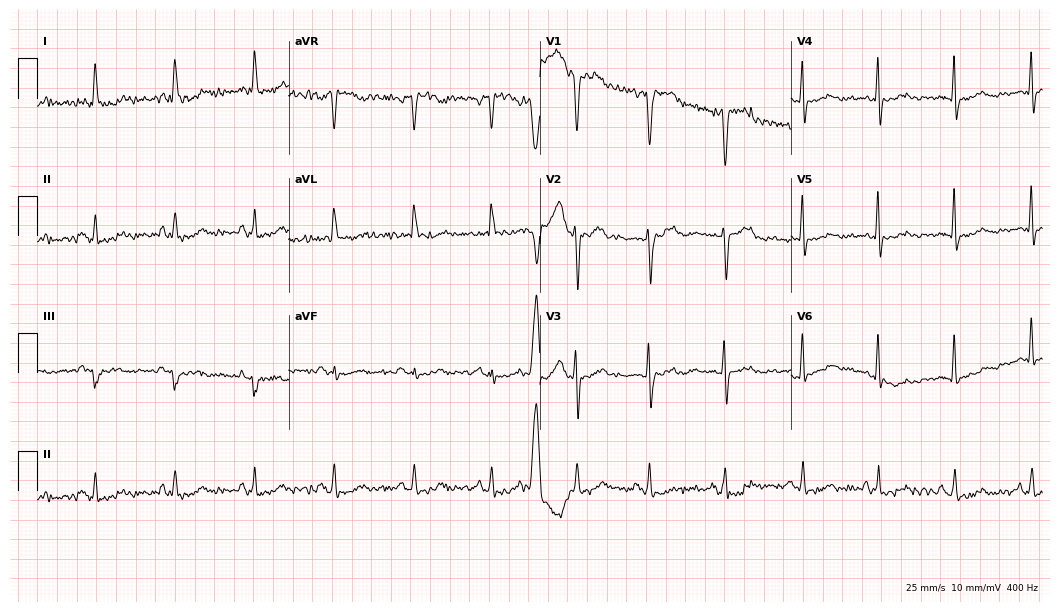
Standard 12-lead ECG recorded from a female patient, 57 years old (10.2-second recording at 400 Hz). None of these six findings is recorded: first-degree AV block, right bundle branch block, left bundle branch block, sinus bradycardia, atrial fibrillation, sinus tachycardia. Only these six findings were labelled.